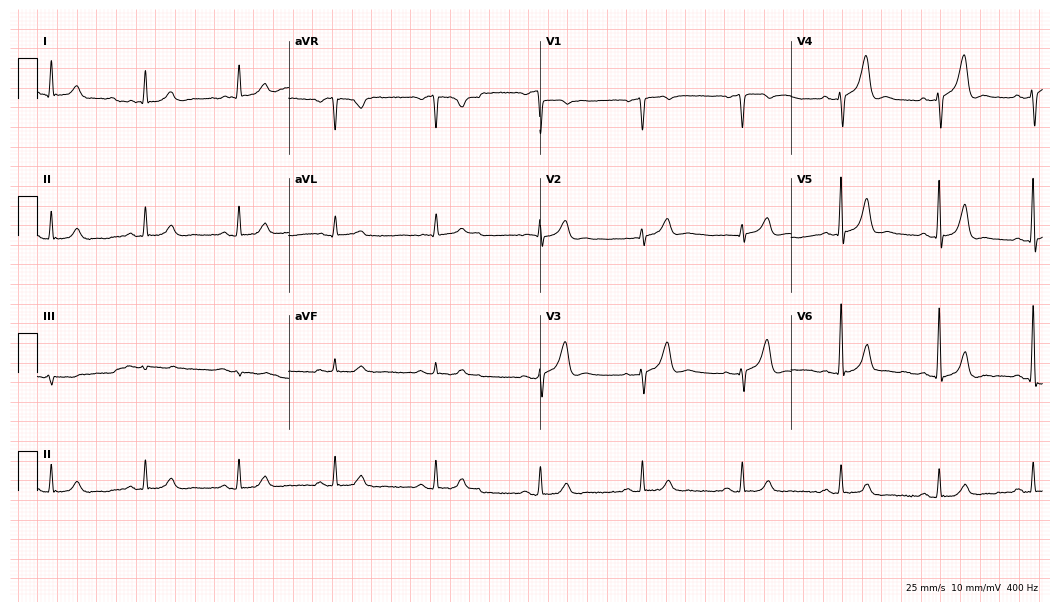
12-lead ECG (10.2-second recording at 400 Hz) from a man, 80 years old. Labelled as a normal ECG.